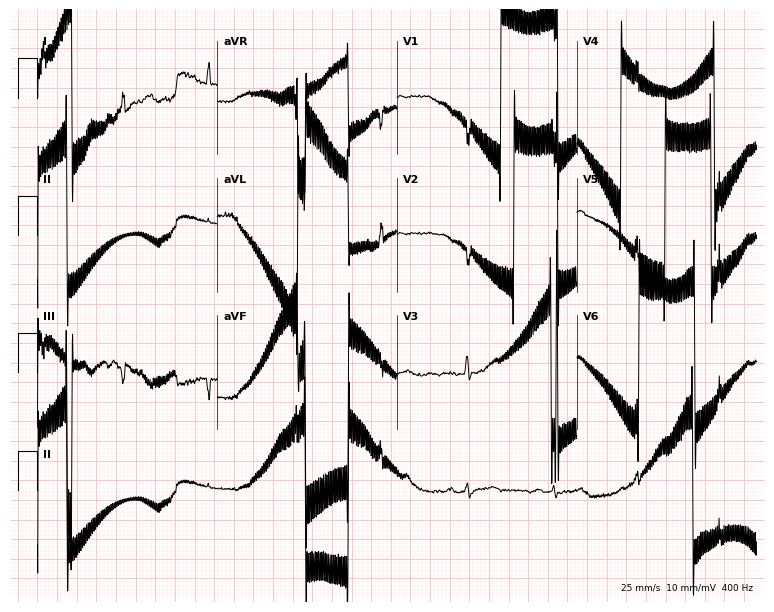
Resting 12-lead electrocardiogram (7.3-second recording at 400 Hz). Patient: a 44-year-old woman. None of these six findings is recorded: first-degree AV block, right bundle branch block (RBBB), left bundle branch block (LBBB), sinus bradycardia, atrial fibrillation (AF), sinus tachycardia. Other findings, if any, are not listed.